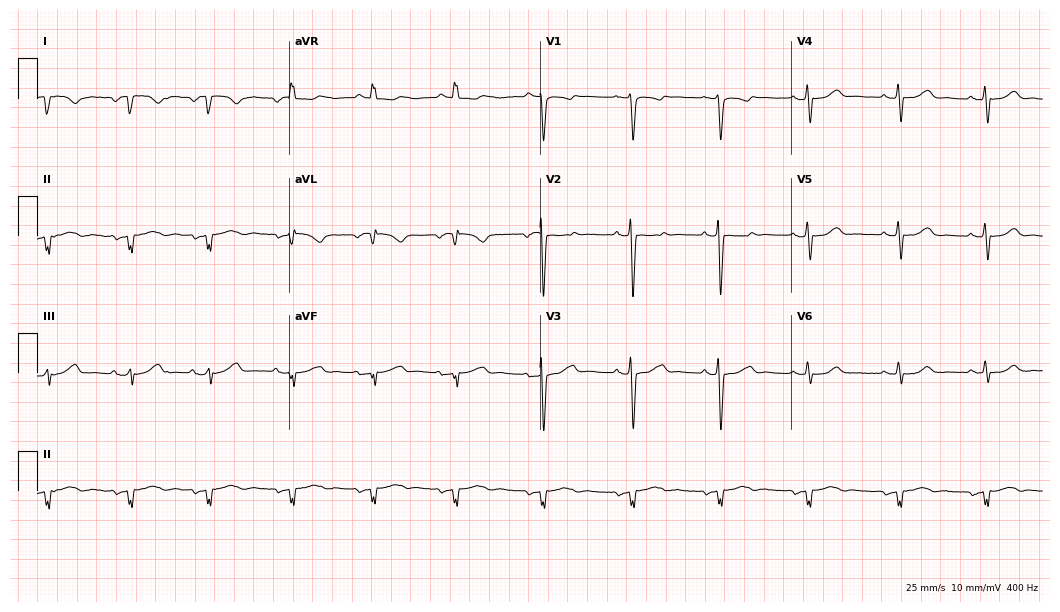
12-lead ECG (10.2-second recording at 400 Hz) from a female patient, 19 years old. Screened for six findings — first-degree AV block, right bundle branch block, left bundle branch block, sinus bradycardia, atrial fibrillation, sinus tachycardia — none is recorded. Other findings, if any, are not listed.